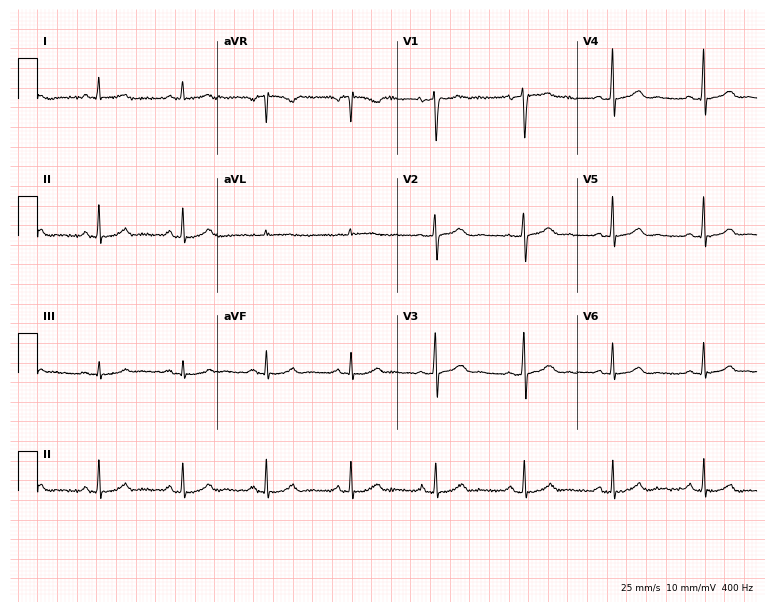
Standard 12-lead ECG recorded from a 42-year-old female patient. Read as a normal ECG.